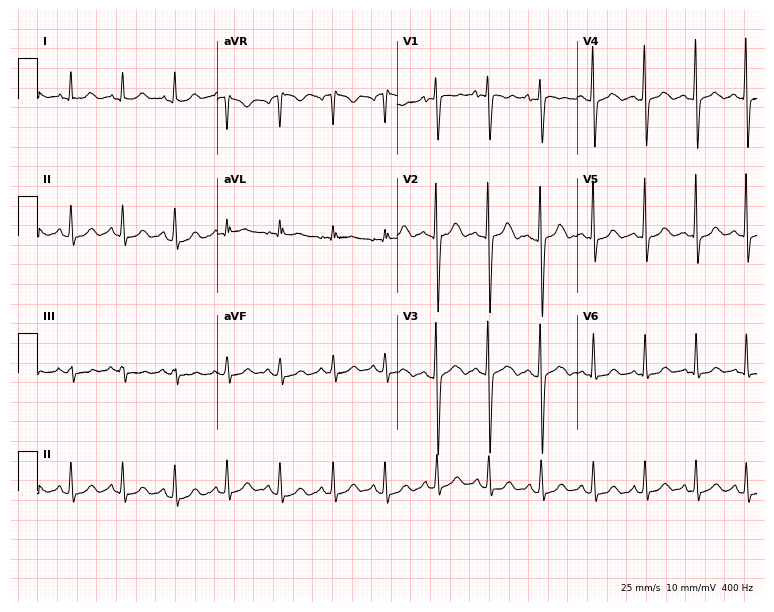
Electrocardiogram, a woman, 23 years old. Interpretation includes sinus tachycardia (a sinus rate of 100 beats per minute or more).